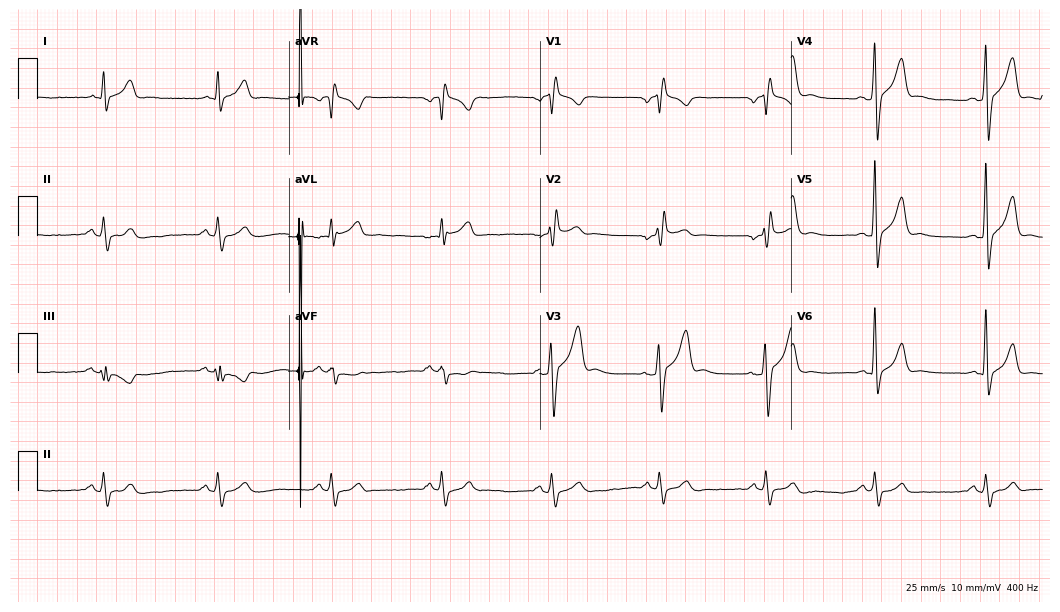
Electrocardiogram, a male, 35 years old. Of the six screened findings (first-degree AV block, right bundle branch block, left bundle branch block, sinus bradycardia, atrial fibrillation, sinus tachycardia), none is recorded. Only these six findings were labelled.